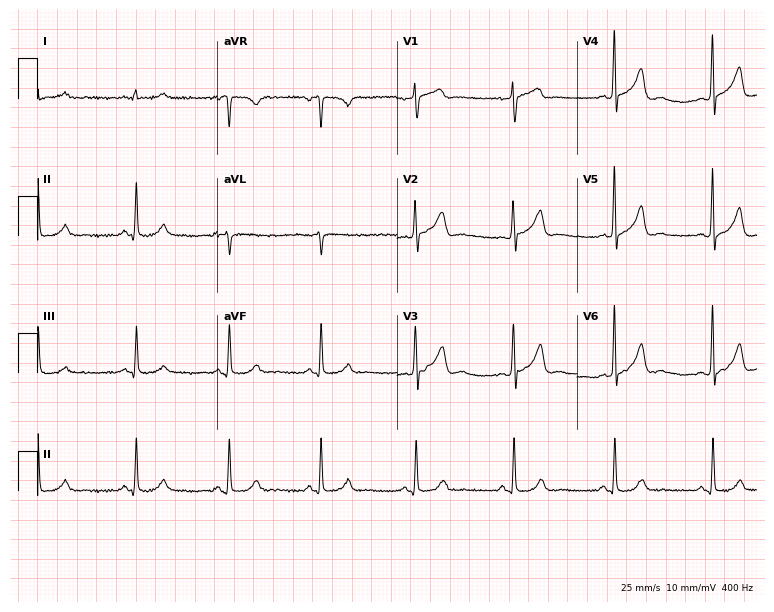
Resting 12-lead electrocardiogram (7.3-second recording at 400 Hz). Patient: a 63-year-old male. Read as a normal ECG.